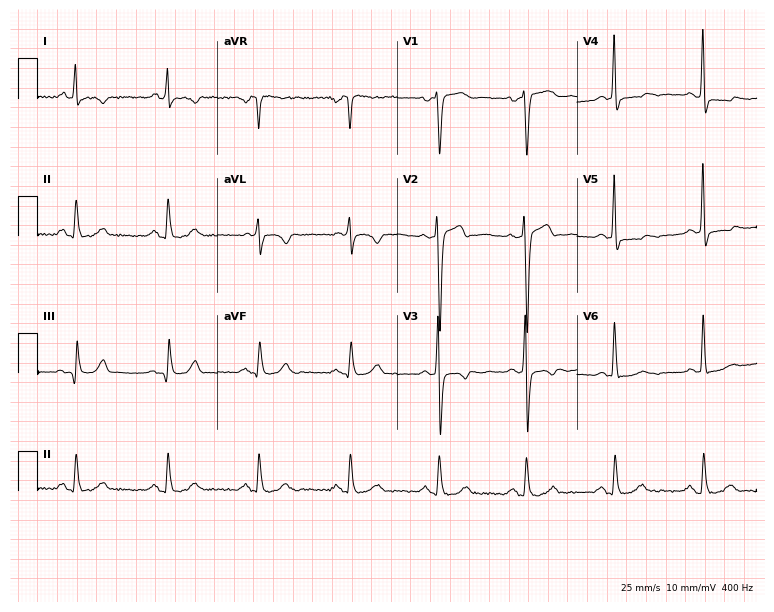
Standard 12-lead ECG recorded from a 46-year-old man. None of these six findings is recorded: first-degree AV block, right bundle branch block (RBBB), left bundle branch block (LBBB), sinus bradycardia, atrial fibrillation (AF), sinus tachycardia.